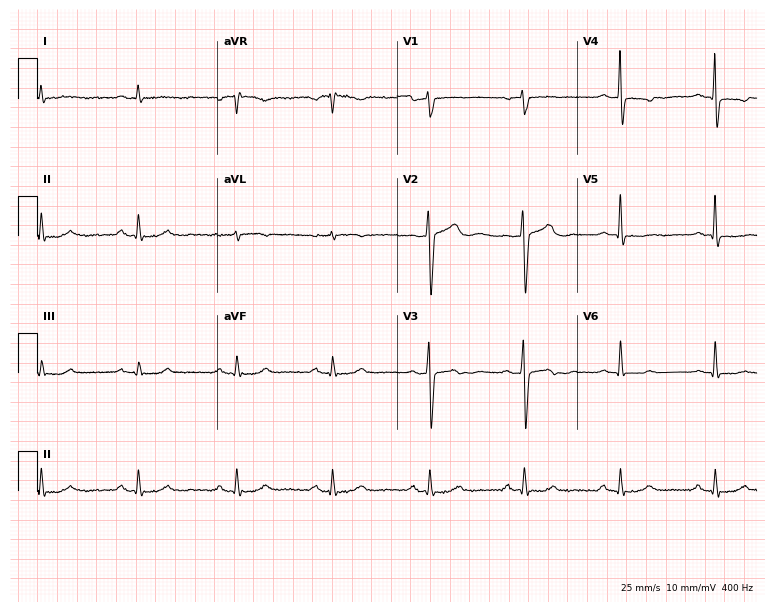
ECG — a male patient, 77 years old. Screened for six findings — first-degree AV block, right bundle branch block, left bundle branch block, sinus bradycardia, atrial fibrillation, sinus tachycardia — none is recorded.